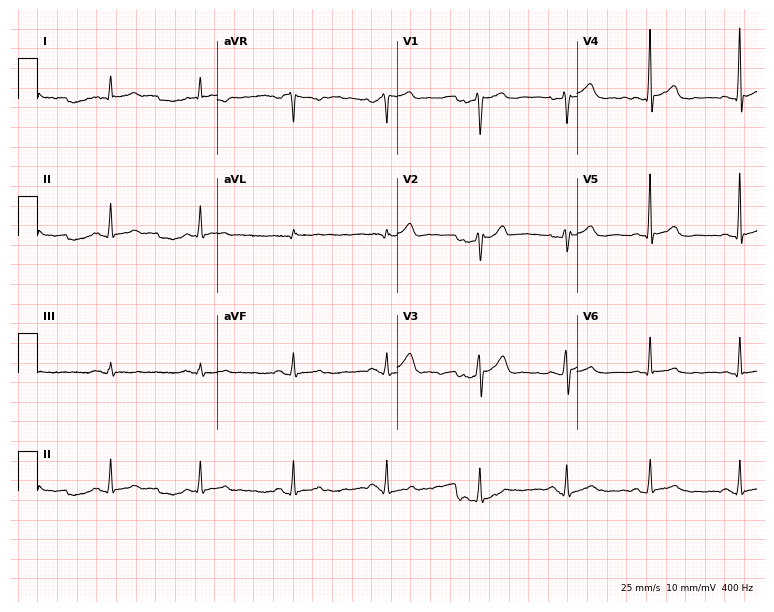
12-lead ECG from a 48-year-old male (7.3-second recording at 400 Hz). Recorded interpretation: within normal limits.